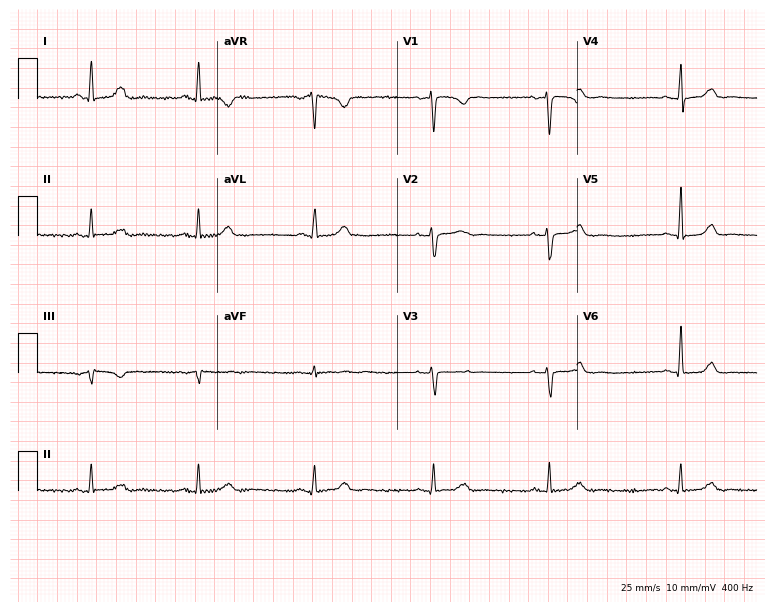
Standard 12-lead ECG recorded from a female patient, 45 years old. Read as a normal ECG.